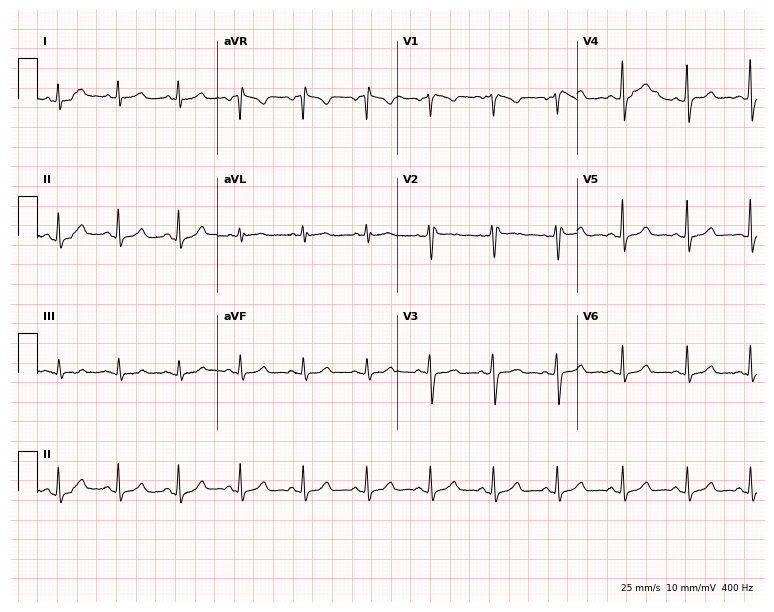
12-lead ECG from a female, 37 years old. Screened for six findings — first-degree AV block, right bundle branch block, left bundle branch block, sinus bradycardia, atrial fibrillation, sinus tachycardia — none is recorded. Findings outside these six are not listed.